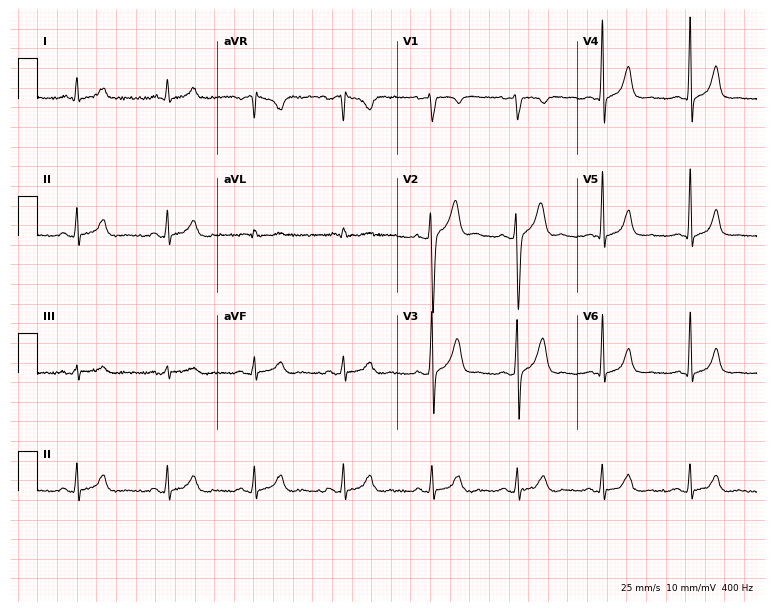
ECG — a man, 29 years old. Screened for six findings — first-degree AV block, right bundle branch block, left bundle branch block, sinus bradycardia, atrial fibrillation, sinus tachycardia — none is recorded.